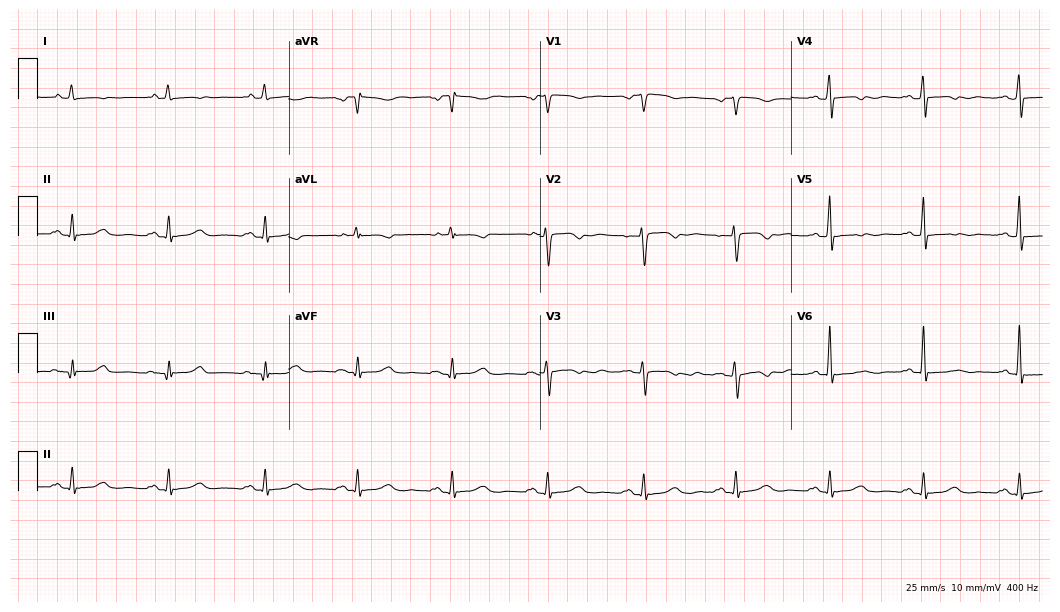
Electrocardiogram, a female patient, 33 years old. Of the six screened findings (first-degree AV block, right bundle branch block, left bundle branch block, sinus bradycardia, atrial fibrillation, sinus tachycardia), none is recorded. Only these six findings were labelled.